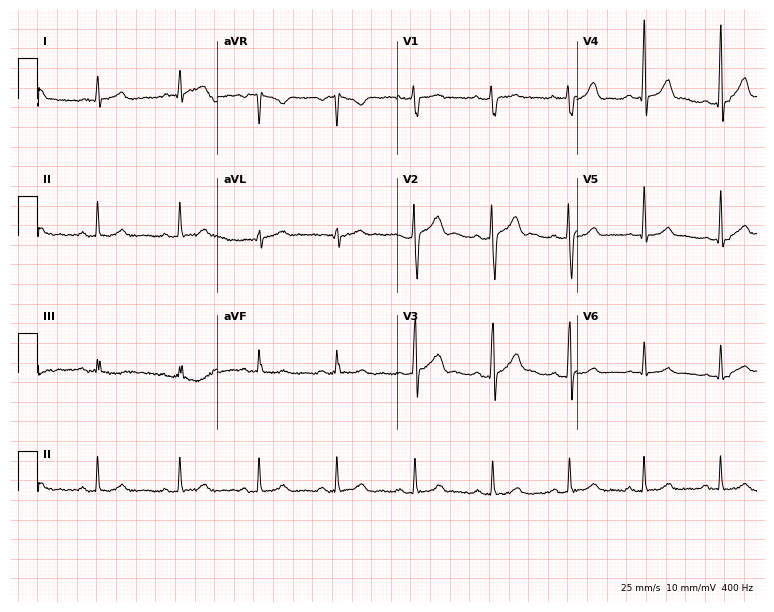
12-lead ECG from a 23-year-old male. Labelled as a normal ECG.